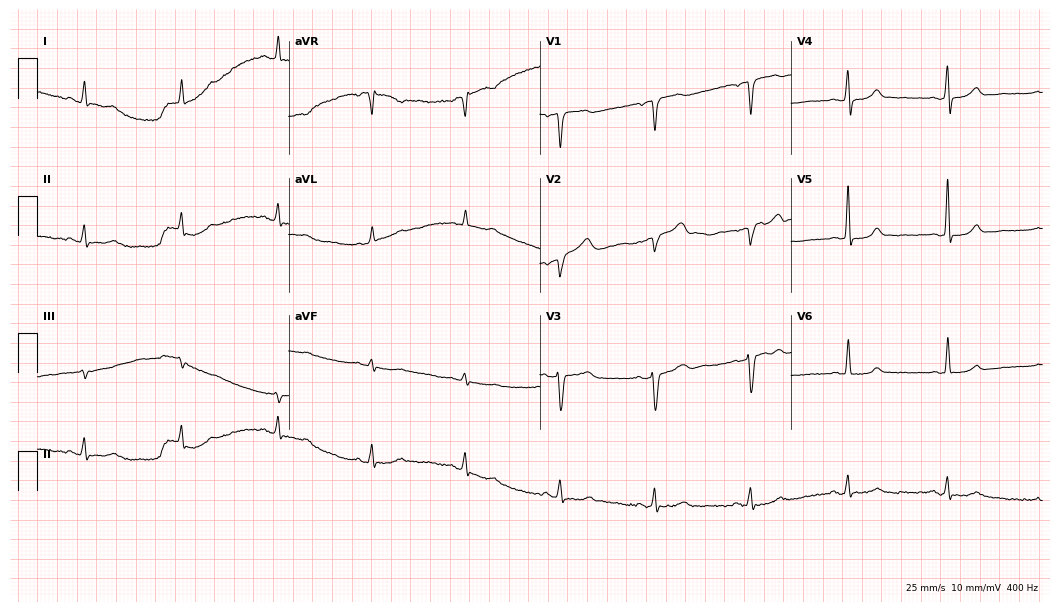
Resting 12-lead electrocardiogram. Patient: a woman, 69 years old. Read as a normal ECG.